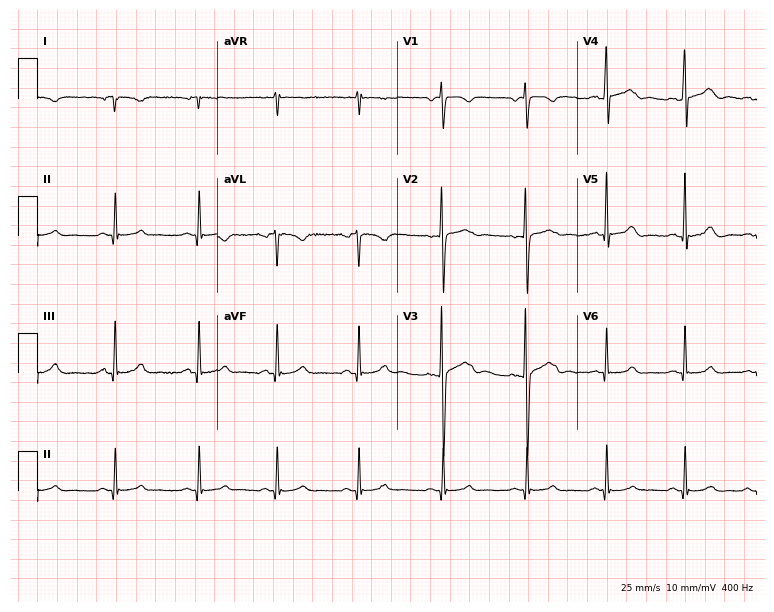
Electrocardiogram (7.3-second recording at 400 Hz), a 25-year-old female patient. Of the six screened findings (first-degree AV block, right bundle branch block, left bundle branch block, sinus bradycardia, atrial fibrillation, sinus tachycardia), none is recorded.